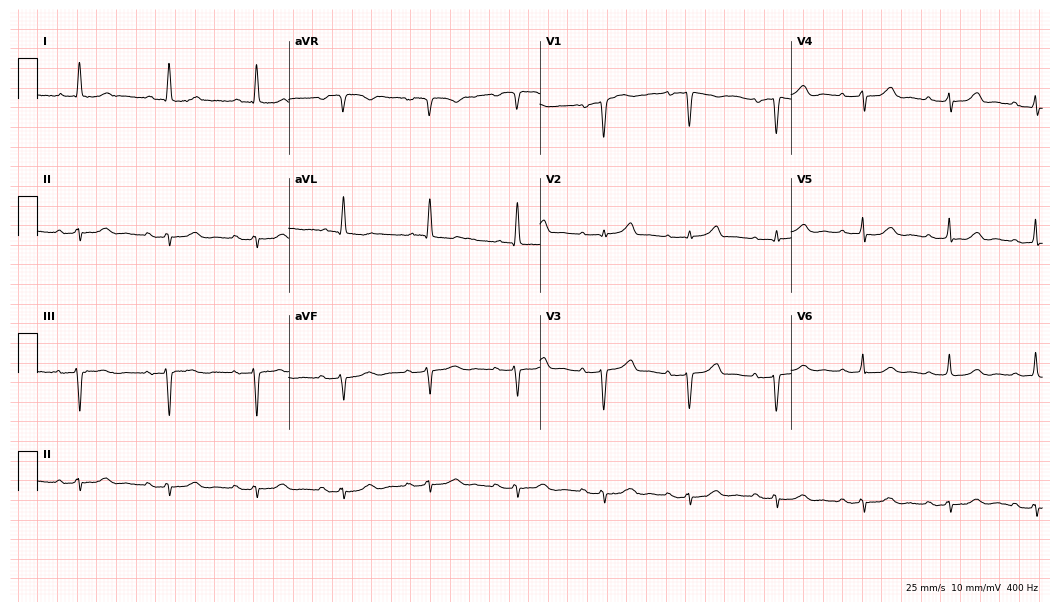
ECG (10.2-second recording at 400 Hz) — a female patient, 80 years old. Findings include first-degree AV block.